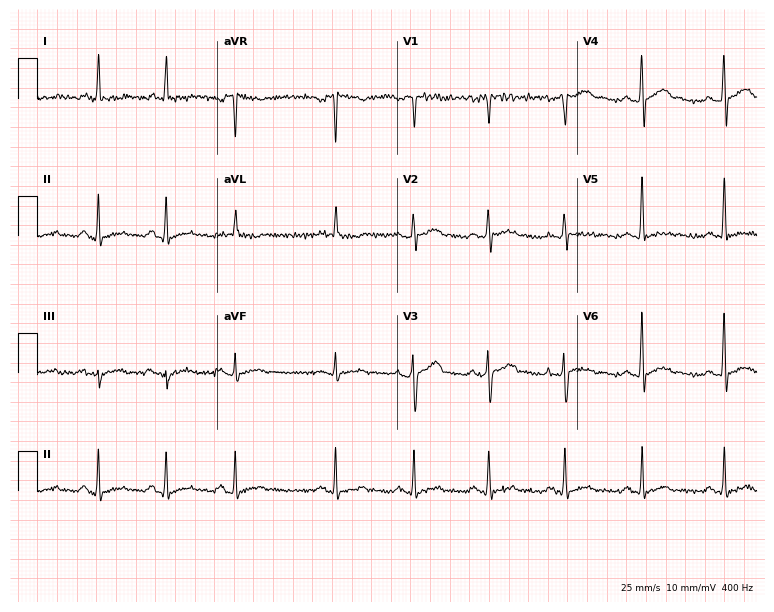
ECG (7.3-second recording at 400 Hz) — a 42-year-old male patient. Screened for six findings — first-degree AV block, right bundle branch block, left bundle branch block, sinus bradycardia, atrial fibrillation, sinus tachycardia — none is recorded.